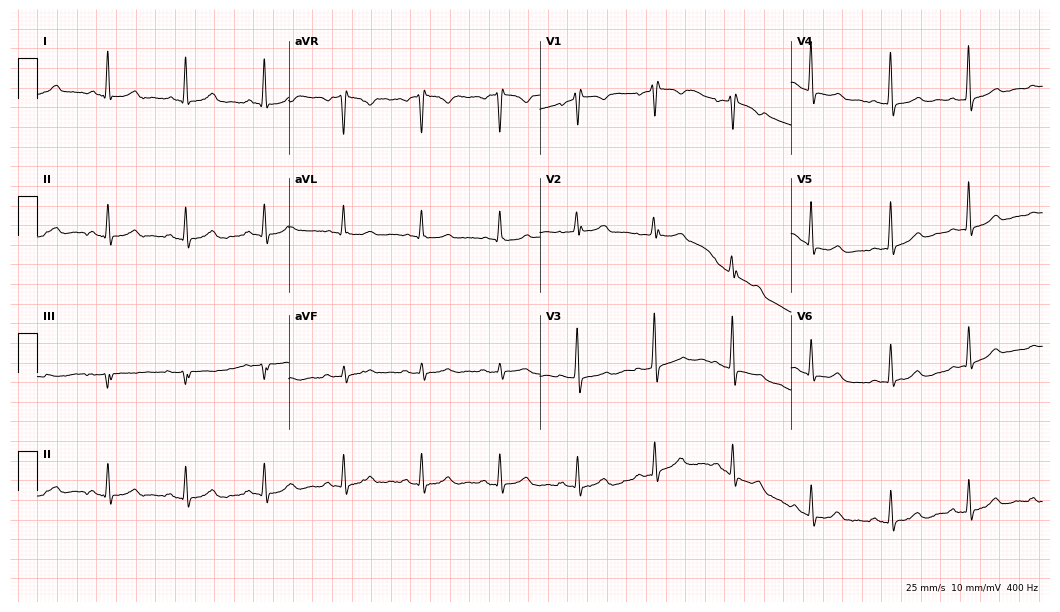
12-lead ECG from a female, 51 years old (10.2-second recording at 400 Hz). No first-degree AV block, right bundle branch block, left bundle branch block, sinus bradycardia, atrial fibrillation or sinus tachycardia recorded for this tracing.